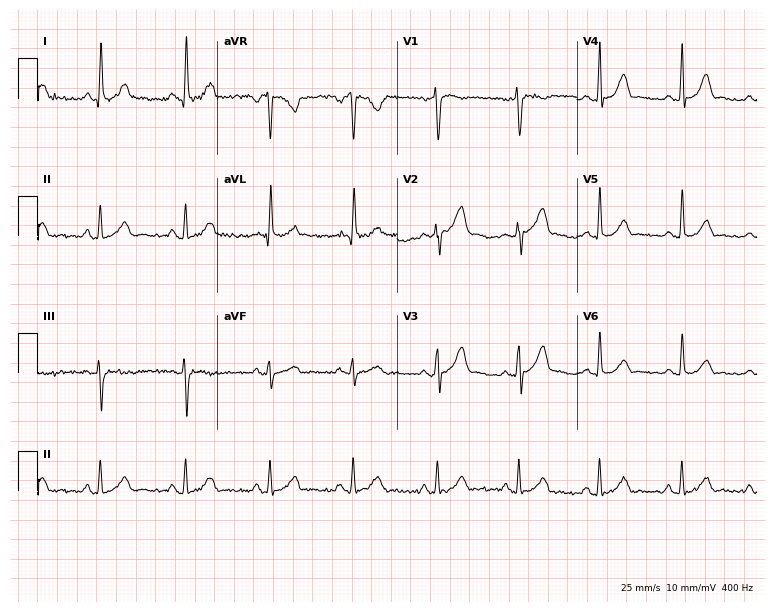
ECG (7.3-second recording at 400 Hz) — a 42-year-old man. Labelled as a normal ECG.